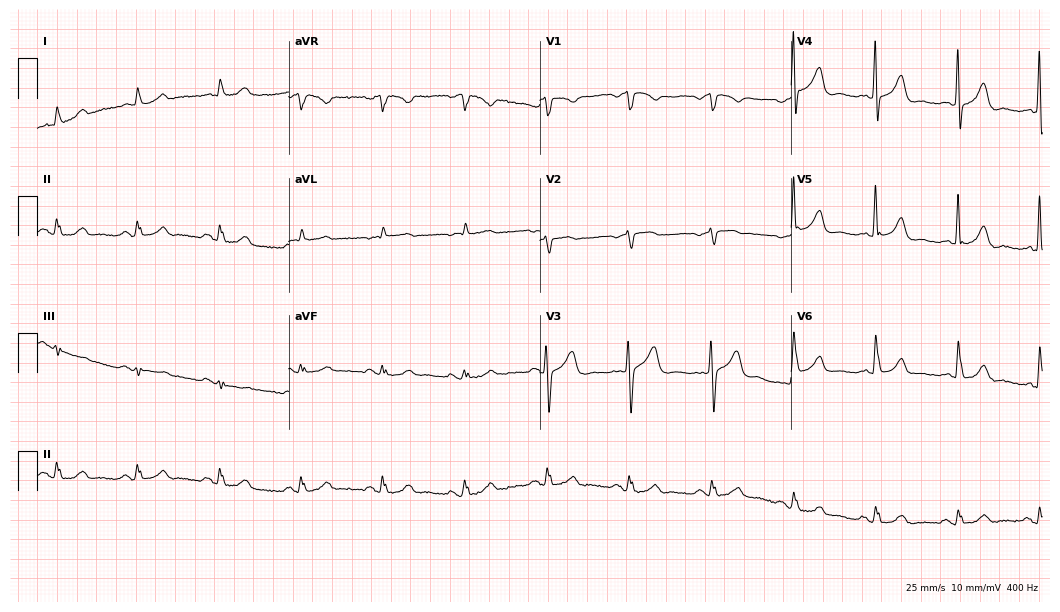
Standard 12-lead ECG recorded from a male, 85 years old (10.2-second recording at 400 Hz). None of these six findings is recorded: first-degree AV block, right bundle branch block (RBBB), left bundle branch block (LBBB), sinus bradycardia, atrial fibrillation (AF), sinus tachycardia. Findings outside these six are not listed.